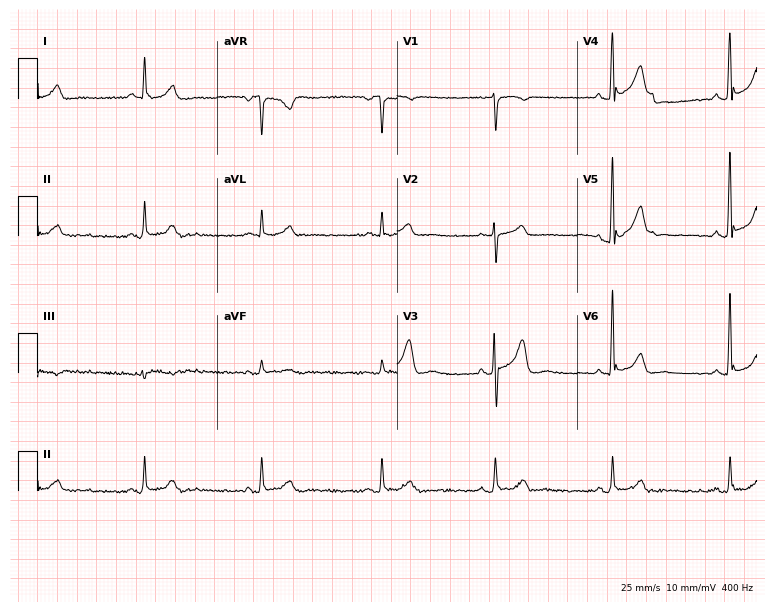
12-lead ECG (7.3-second recording at 400 Hz) from a 58-year-old male. Screened for six findings — first-degree AV block, right bundle branch block, left bundle branch block, sinus bradycardia, atrial fibrillation, sinus tachycardia — none is recorded. Other findings, if any, are not listed.